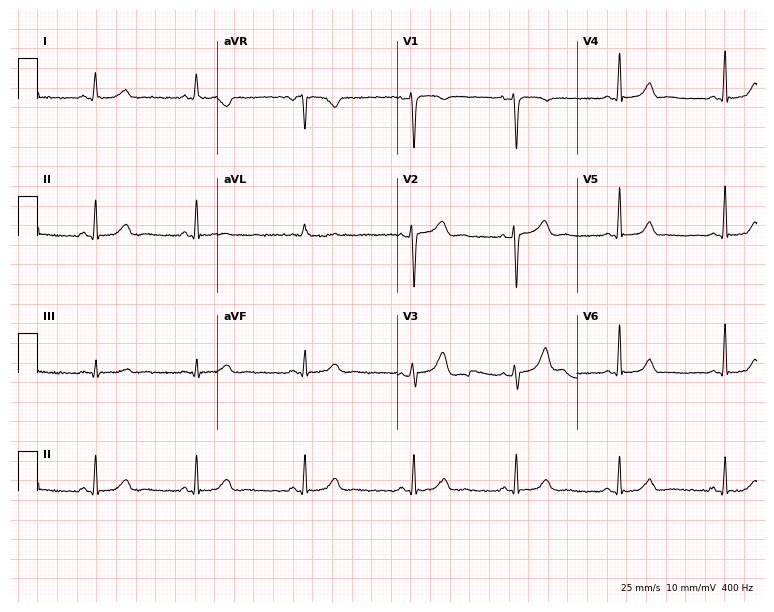
Resting 12-lead electrocardiogram. Patient: a 30-year-old female. None of these six findings is recorded: first-degree AV block, right bundle branch block, left bundle branch block, sinus bradycardia, atrial fibrillation, sinus tachycardia. Findings outside these six are not listed.